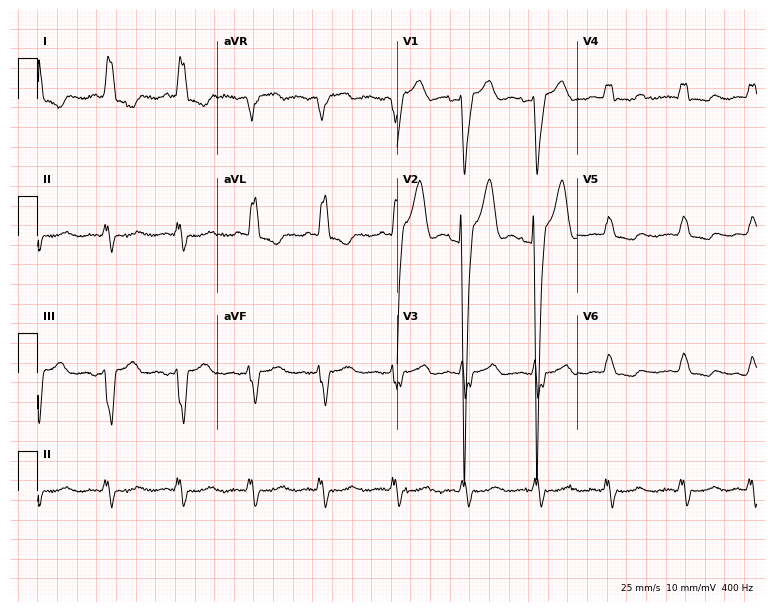
Electrocardiogram (7.3-second recording at 400 Hz), a 73-year-old female patient. Of the six screened findings (first-degree AV block, right bundle branch block (RBBB), left bundle branch block (LBBB), sinus bradycardia, atrial fibrillation (AF), sinus tachycardia), none is recorded. Only these six findings were labelled.